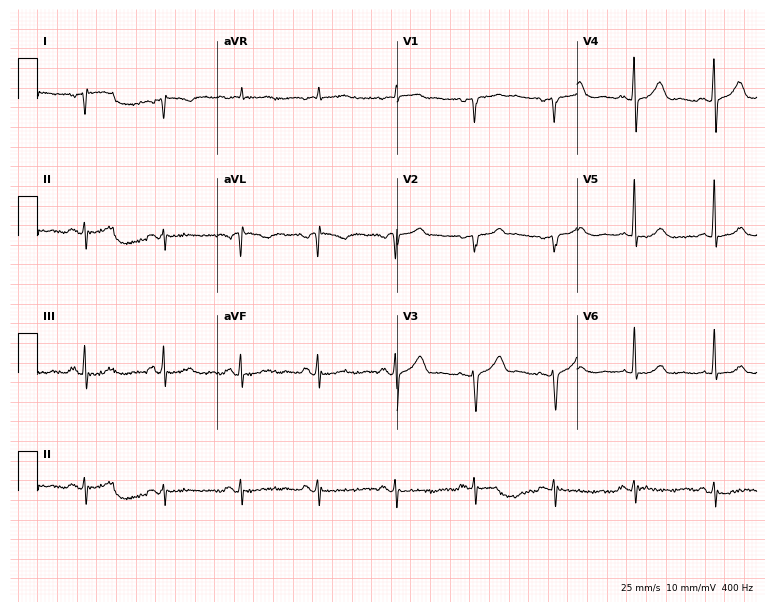
12-lead ECG (7.3-second recording at 400 Hz) from a 72-year-old female. Screened for six findings — first-degree AV block, right bundle branch block, left bundle branch block, sinus bradycardia, atrial fibrillation, sinus tachycardia — none is recorded.